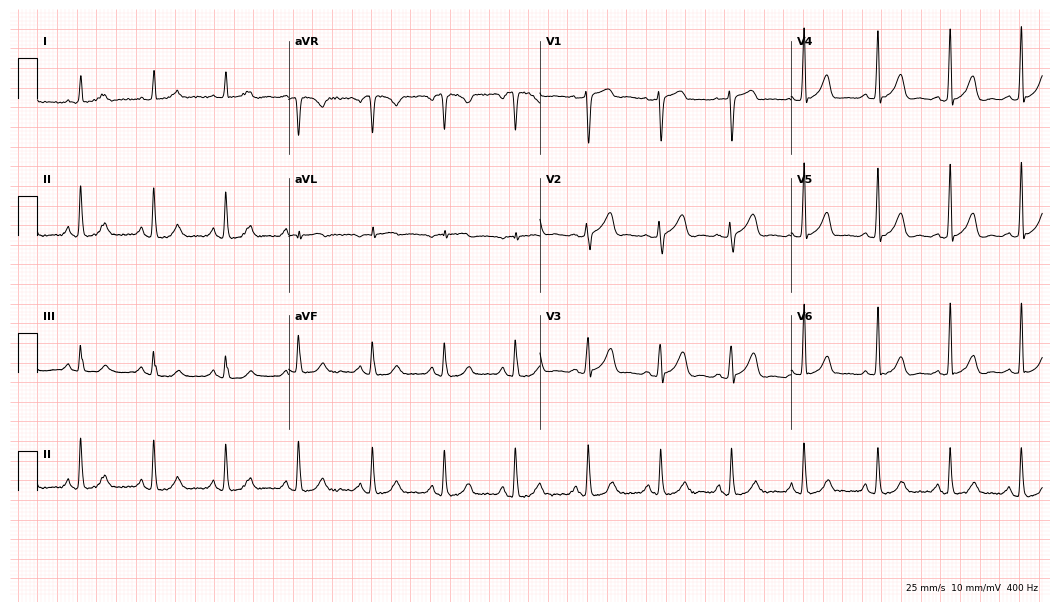
Resting 12-lead electrocardiogram (10.2-second recording at 400 Hz). Patient: a woman, 81 years old. Read as a normal ECG.